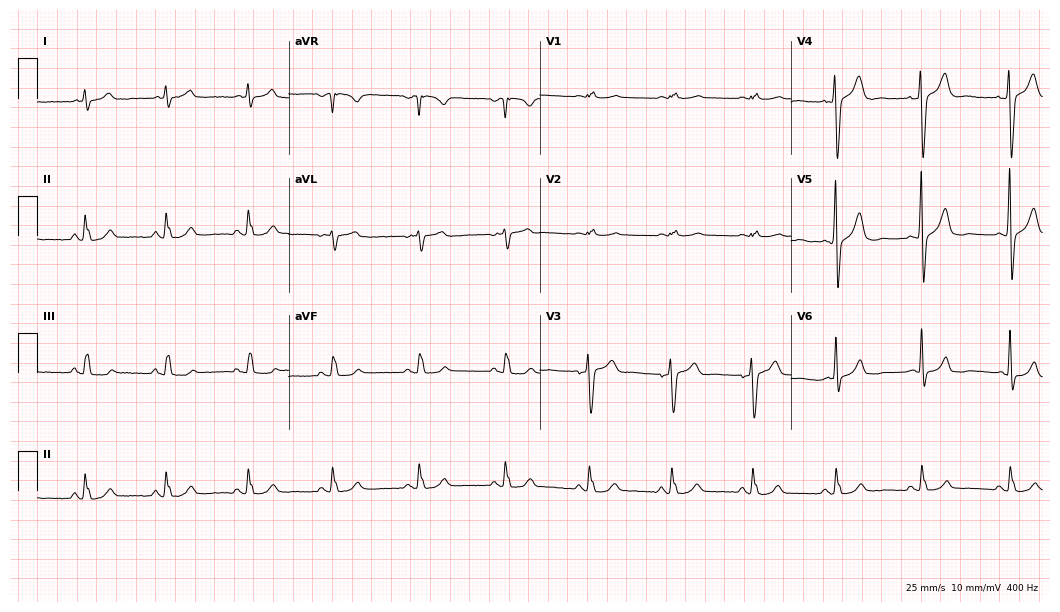
12-lead ECG from a male patient, 50 years old. Screened for six findings — first-degree AV block, right bundle branch block, left bundle branch block, sinus bradycardia, atrial fibrillation, sinus tachycardia — none is recorded. Other findings, if any, are not listed.